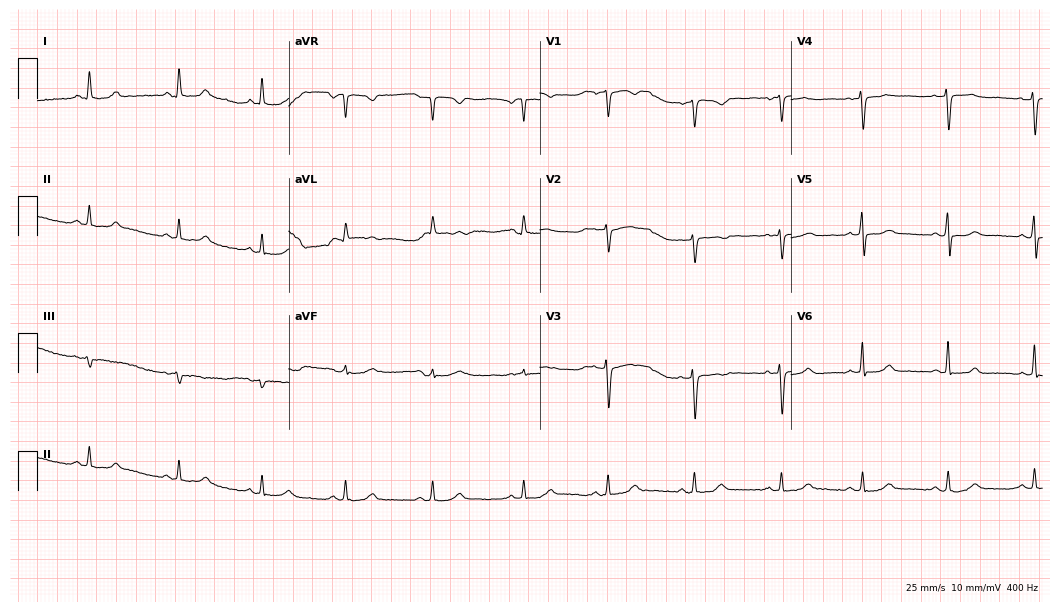
Standard 12-lead ECG recorded from a female patient, 45 years old (10.2-second recording at 400 Hz). Read as a normal ECG.